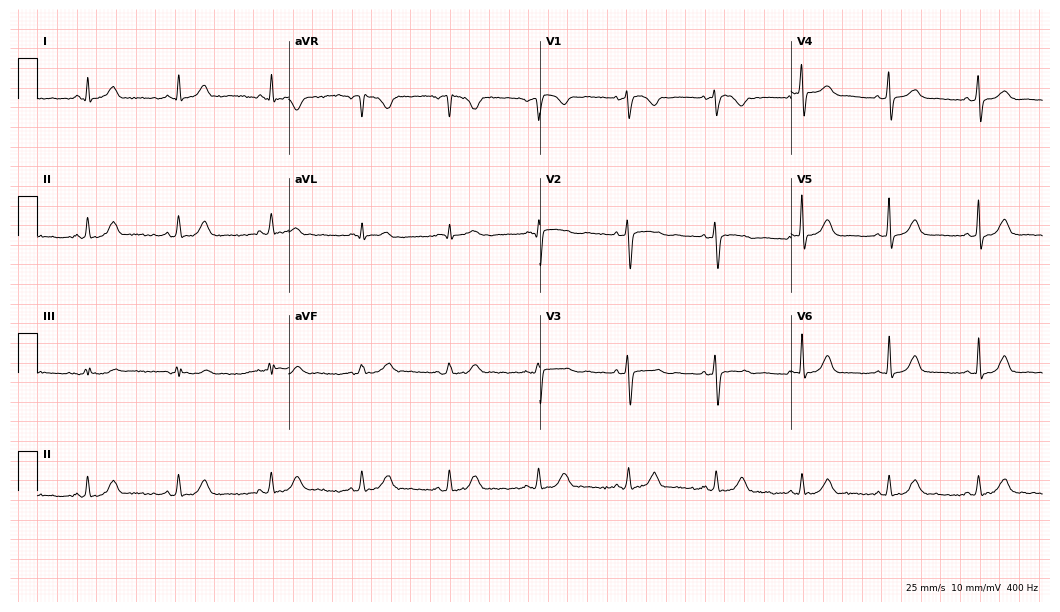
12-lead ECG from a female, 46 years old. Labelled as a normal ECG.